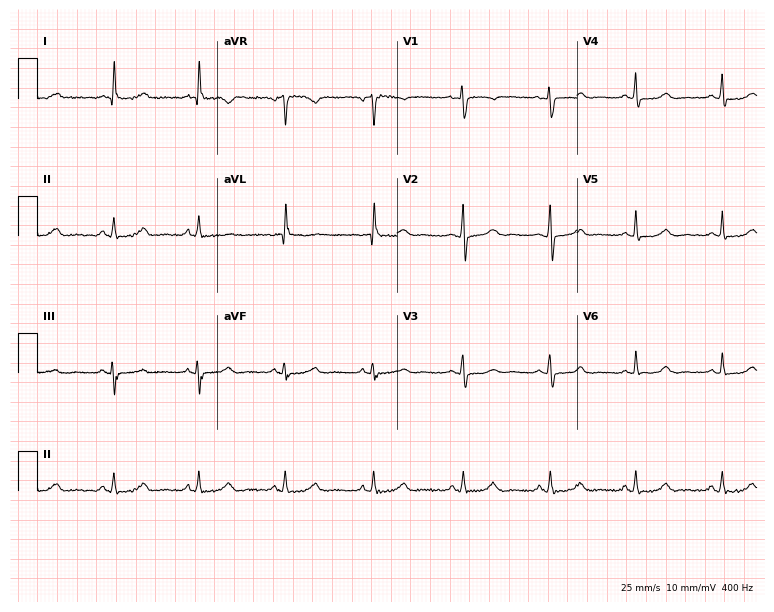
12-lead ECG from a woman, 51 years old. Recorded interpretation: within normal limits.